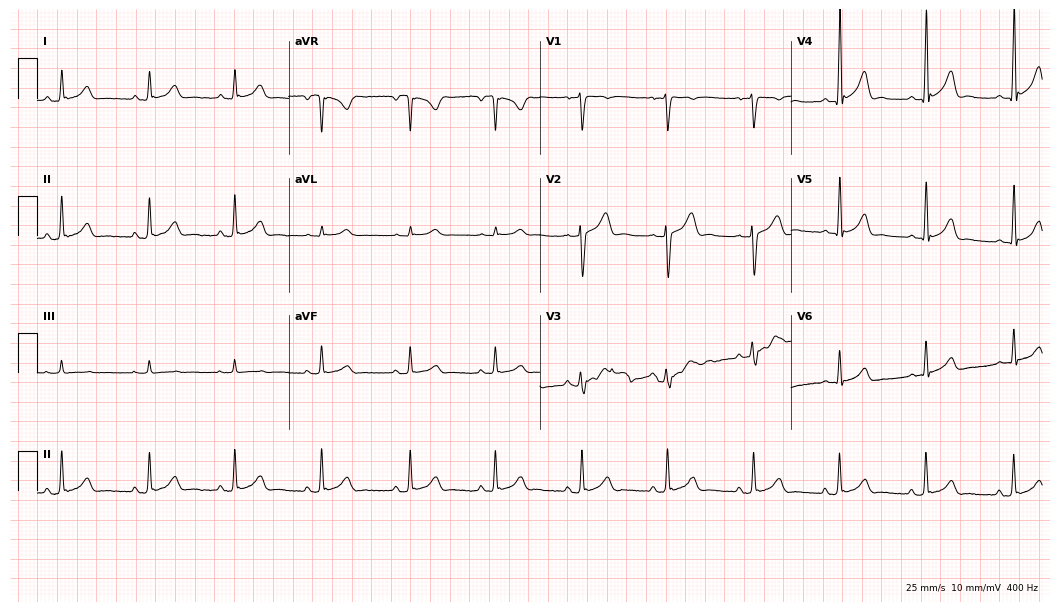
12-lead ECG from a 23-year-old male. Labelled as a normal ECG.